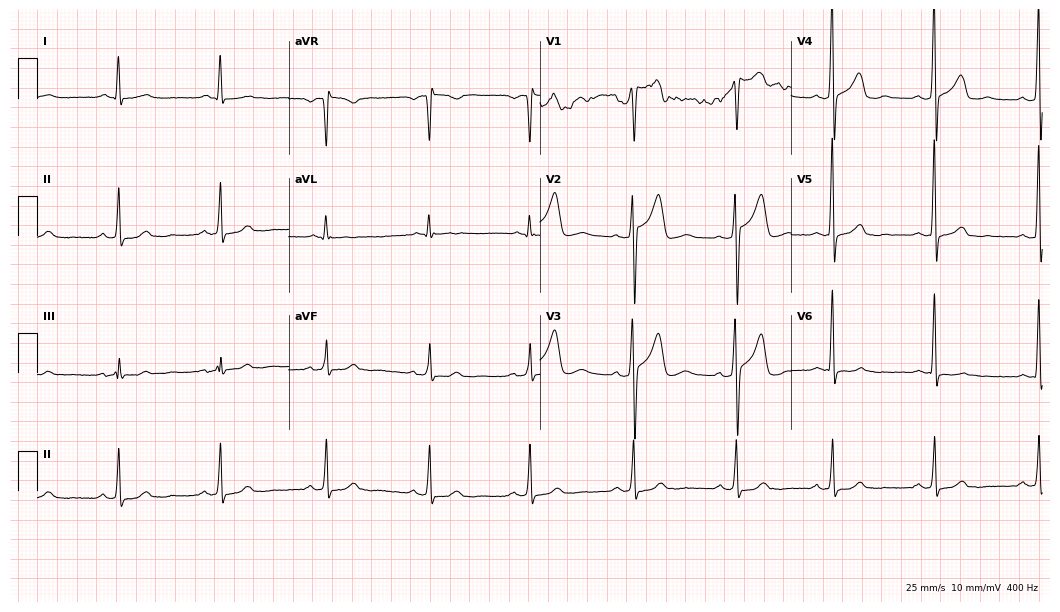
12-lead ECG from a man, 30 years old. Recorded interpretation: within normal limits.